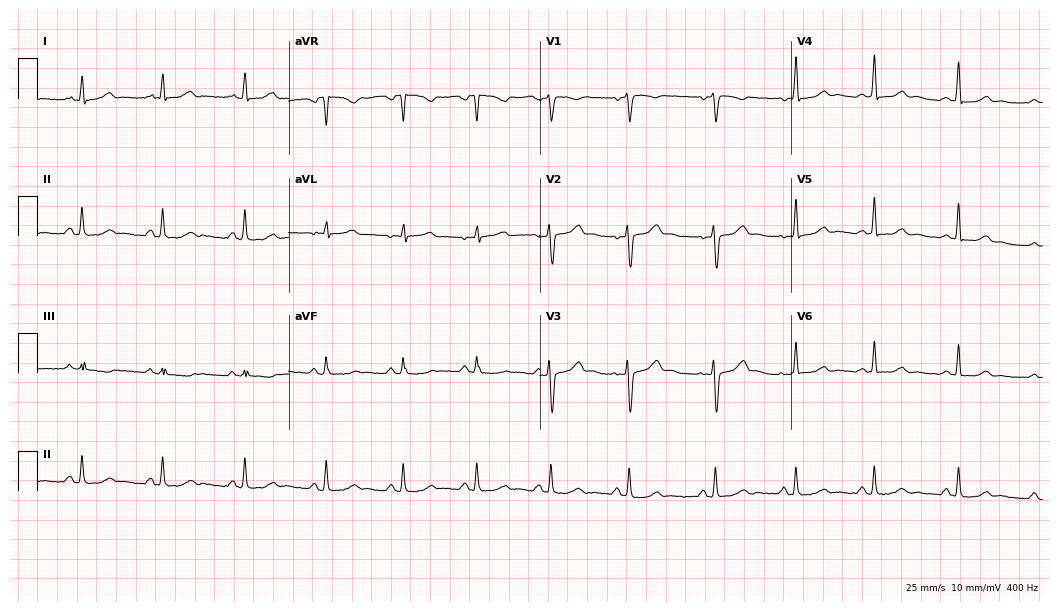
Standard 12-lead ECG recorded from a 27-year-old female (10.2-second recording at 400 Hz). Read as a normal ECG.